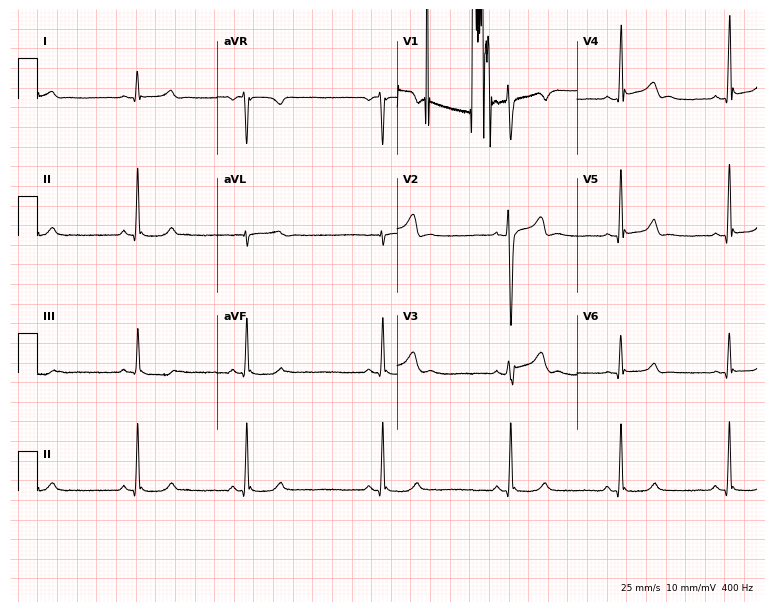
12-lead ECG from a male patient, 20 years old (7.3-second recording at 400 Hz). No first-degree AV block, right bundle branch block, left bundle branch block, sinus bradycardia, atrial fibrillation or sinus tachycardia recorded for this tracing. Findings outside these six are not listed.